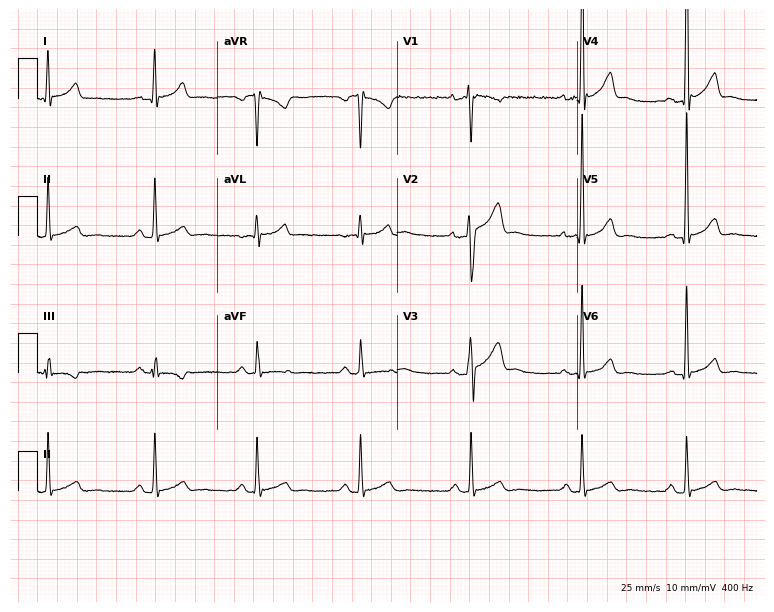
ECG (7.3-second recording at 400 Hz) — a man, 35 years old. Screened for six findings — first-degree AV block, right bundle branch block, left bundle branch block, sinus bradycardia, atrial fibrillation, sinus tachycardia — none is recorded.